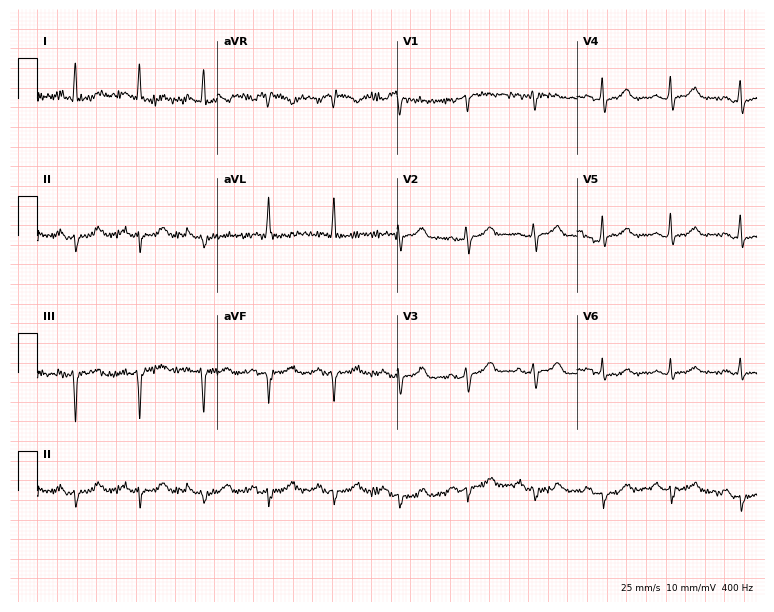
12-lead ECG from a female, 55 years old (7.3-second recording at 400 Hz). No first-degree AV block, right bundle branch block, left bundle branch block, sinus bradycardia, atrial fibrillation or sinus tachycardia recorded for this tracing.